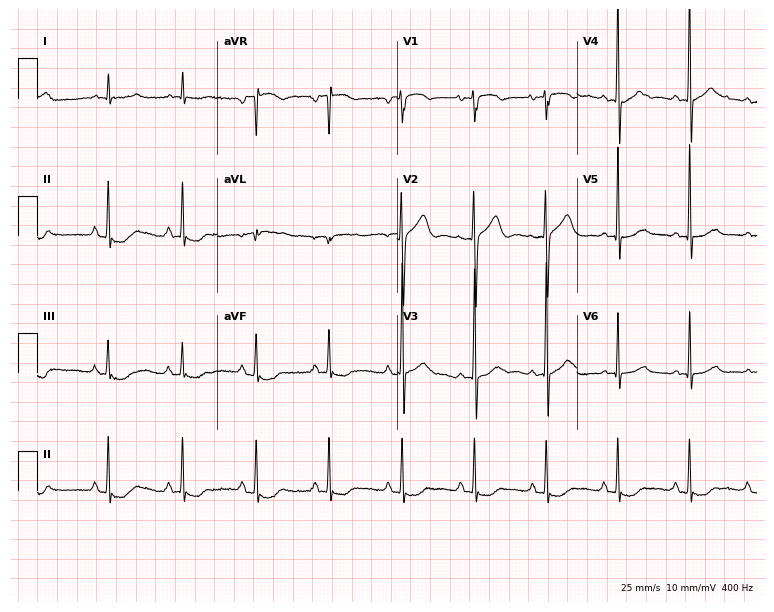
ECG — a 74-year-old male patient. Screened for six findings — first-degree AV block, right bundle branch block, left bundle branch block, sinus bradycardia, atrial fibrillation, sinus tachycardia — none is recorded.